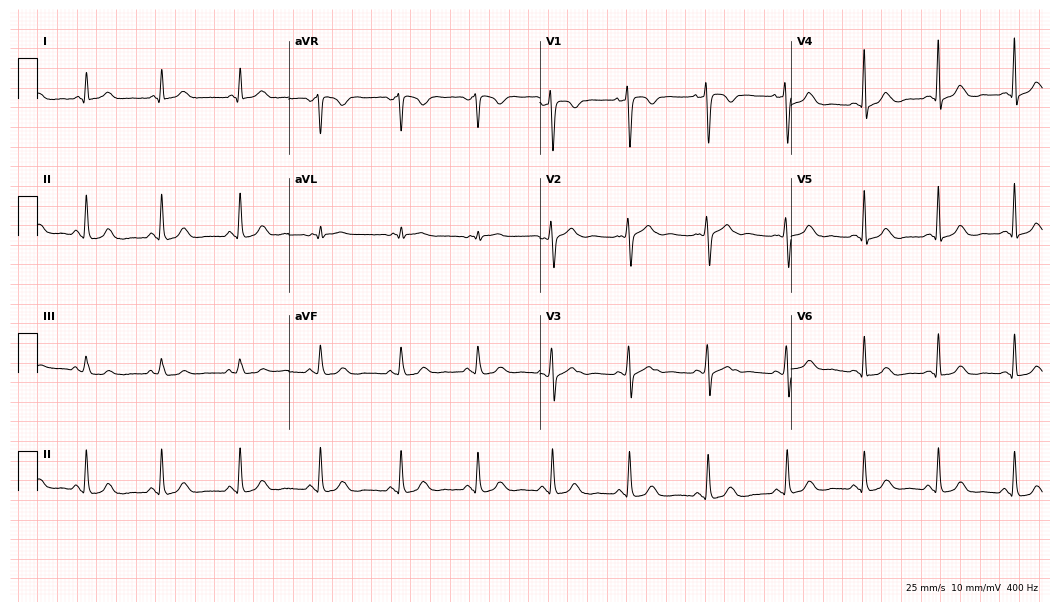
ECG (10.2-second recording at 400 Hz) — a woman, 40 years old. Labelled as a normal ECG.